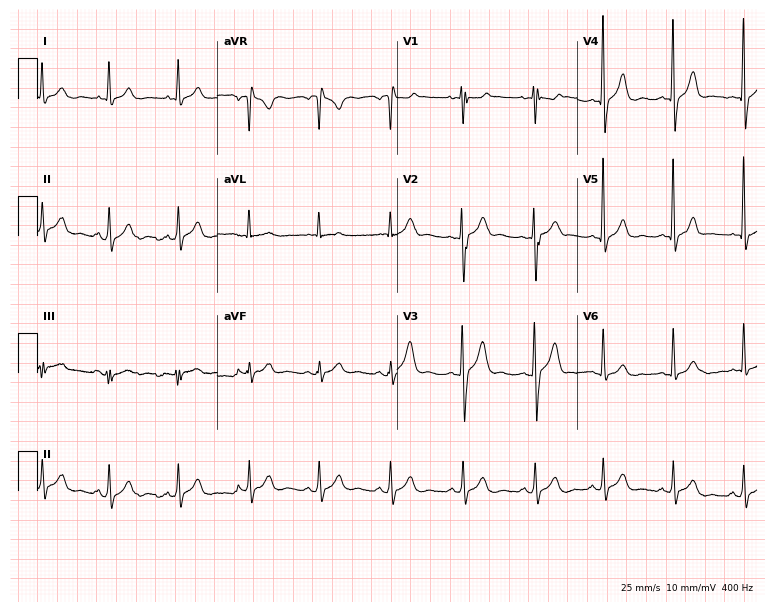
Electrocardiogram (7.3-second recording at 400 Hz), a male patient, 28 years old. Overall reading on record: normal ECG.